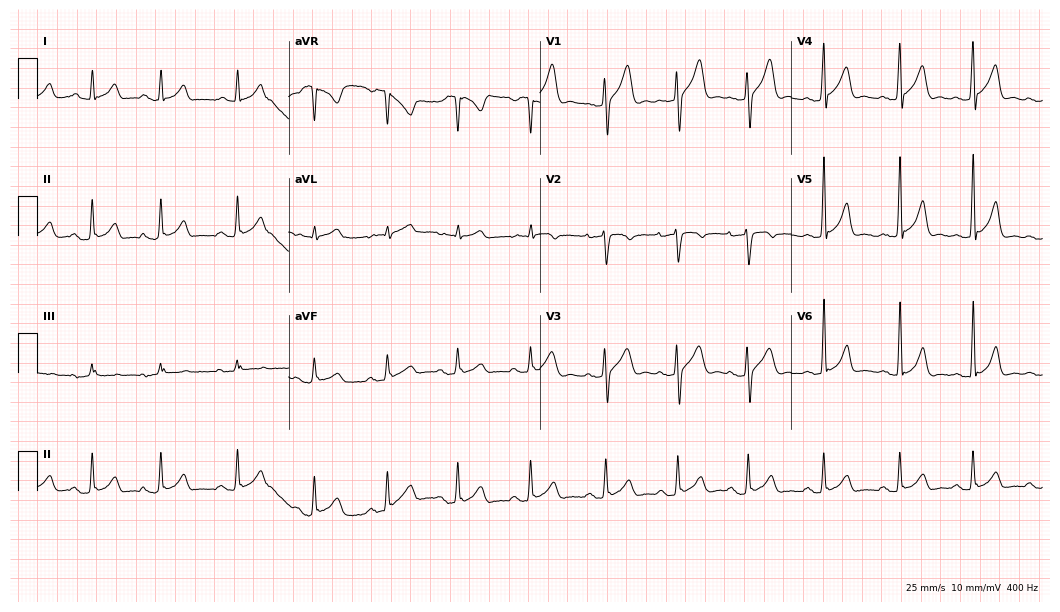
Electrocardiogram (10.2-second recording at 400 Hz), a male patient, 22 years old. Overall reading on record: normal ECG.